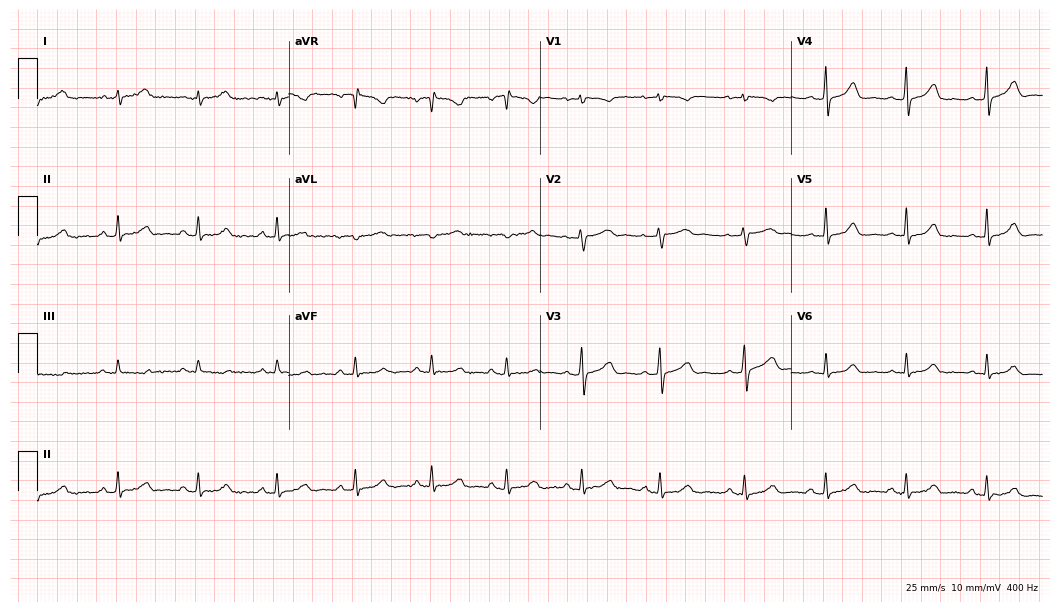
12-lead ECG from a 39-year-old woman. Recorded interpretation: within normal limits.